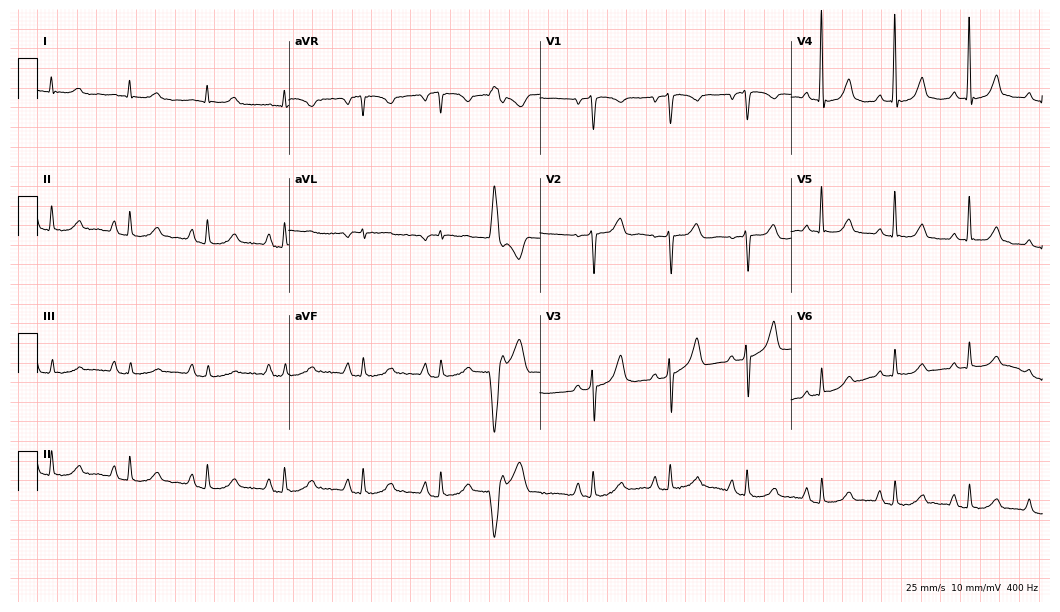
Standard 12-lead ECG recorded from a female patient, 74 years old. None of these six findings is recorded: first-degree AV block, right bundle branch block (RBBB), left bundle branch block (LBBB), sinus bradycardia, atrial fibrillation (AF), sinus tachycardia. Findings outside these six are not listed.